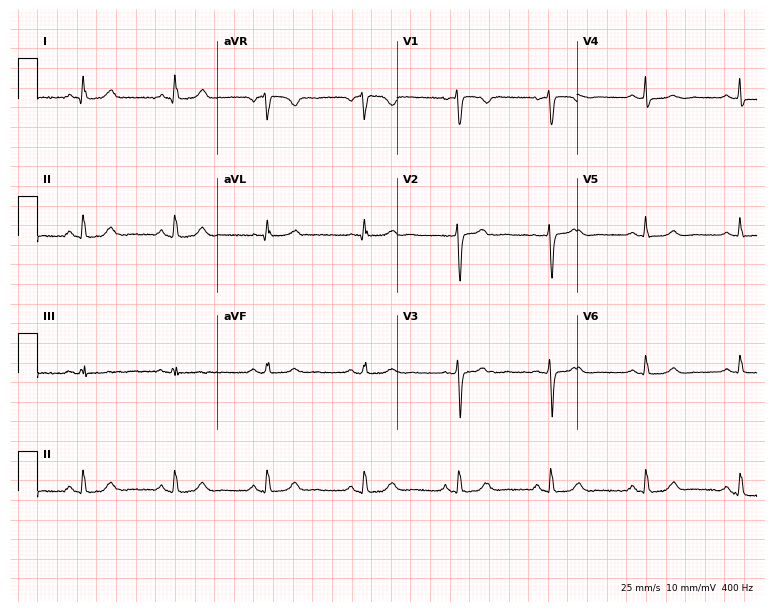
ECG (7.3-second recording at 400 Hz) — a 46-year-old woman. Labelled as a normal ECG.